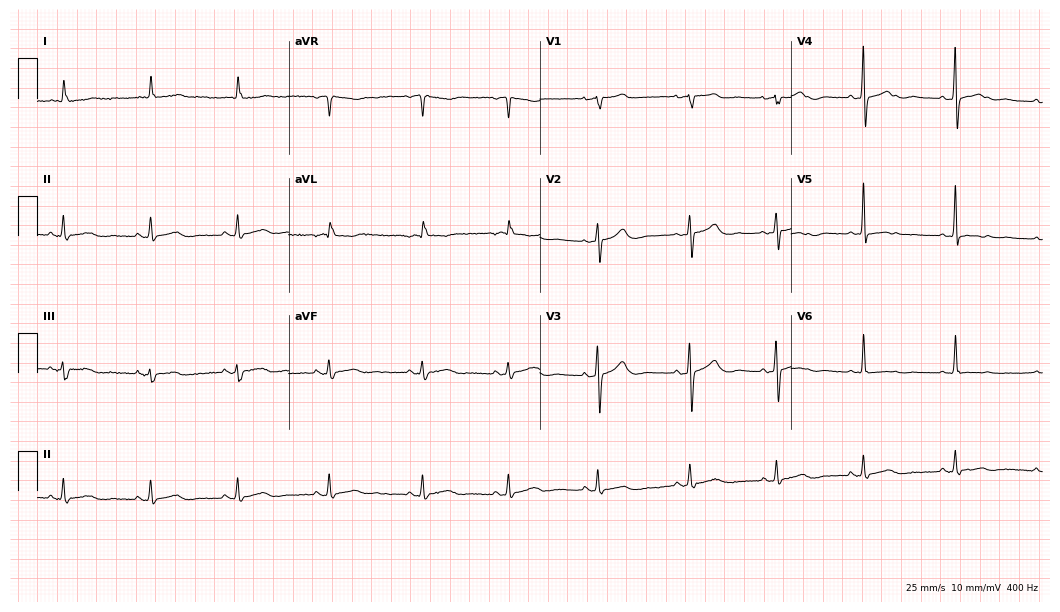
Electrocardiogram (10.2-second recording at 400 Hz), a 79-year-old woman. Overall reading on record: normal ECG.